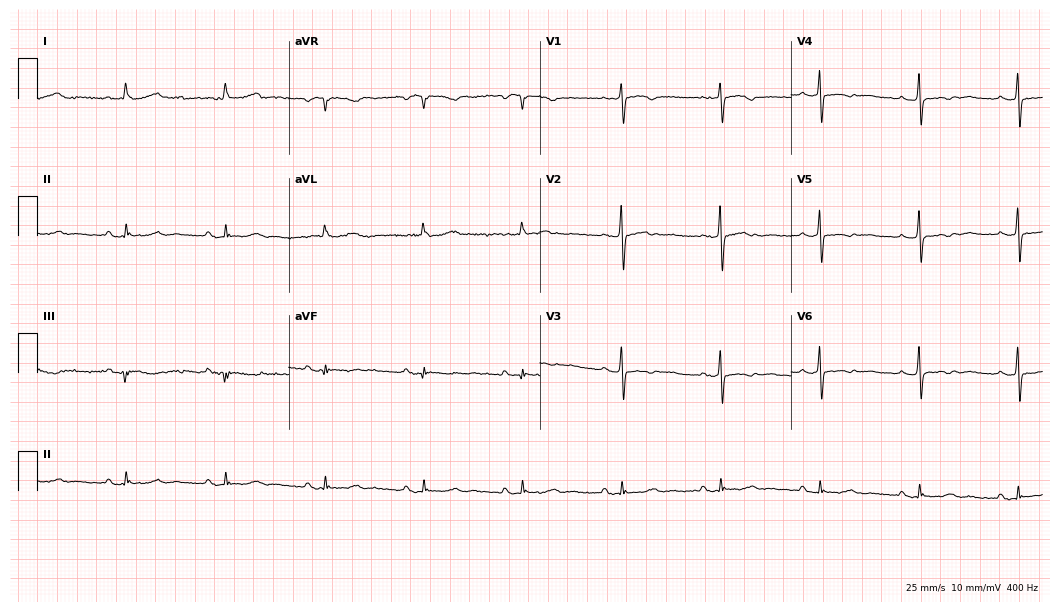
Resting 12-lead electrocardiogram (10.2-second recording at 400 Hz). Patient: a female, 67 years old. None of these six findings is recorded: first-degree AV block, right bundle branch block (RBBB), left bundle branch block (LBBB), sinus bradycardia, atrial fibrillation (AF), sinus tachycardia.